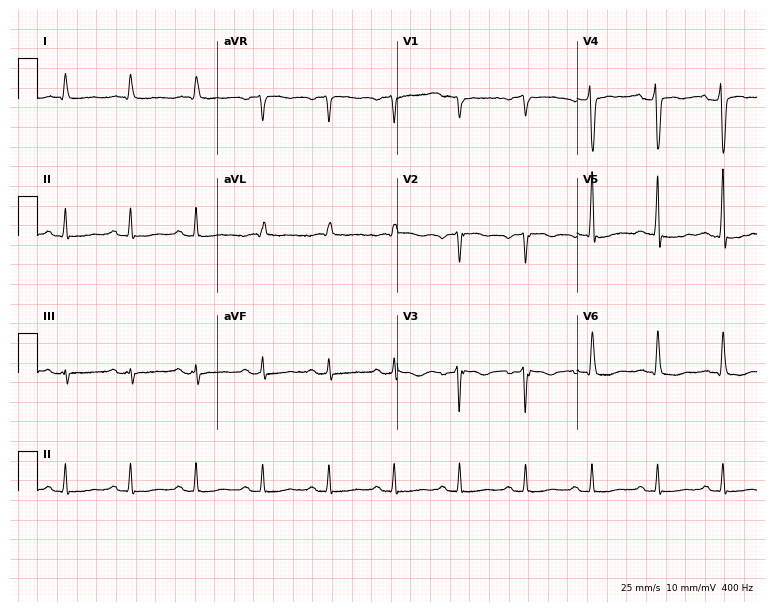
ECG — an 84-year-old female patient. Screened for six findings — first-degree AV block, right bundle branch block (RBBB), left bundle branch block (LBBB), sinus bradycardia, atrial fibrillation (AF), sinus tachycardia — none is recorded.